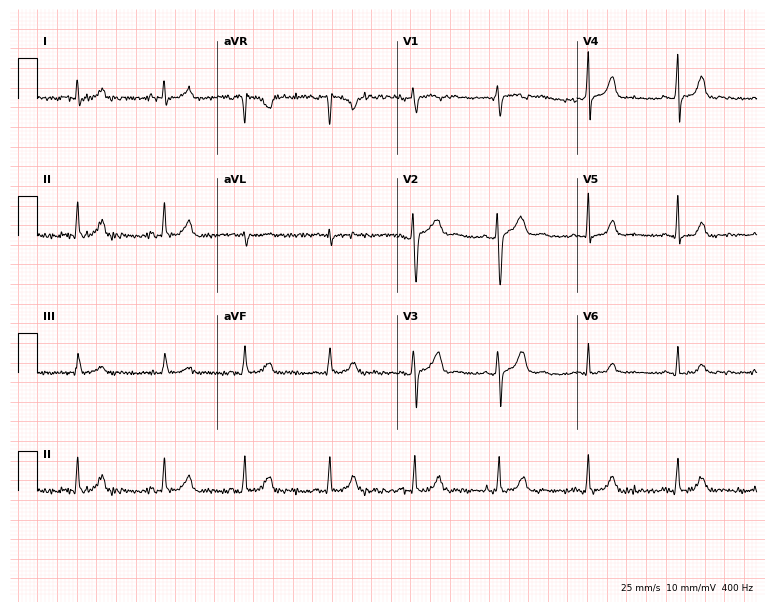
Standard 12-lead ECG recorded from a woman, 30 years old. Read as a normal ECG.